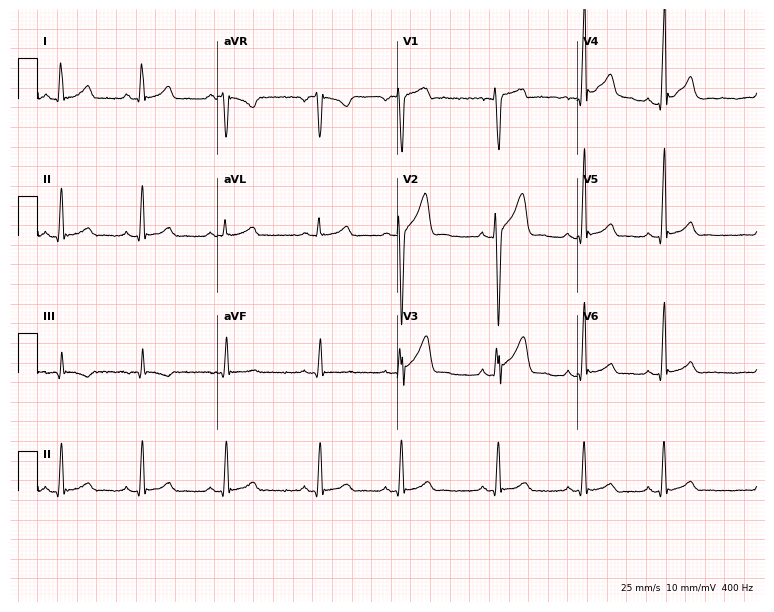
Electrocardiogram (7.3-second recording at 400 Hz), a male patient, 20 years old. Overall reading on record: normal ECG.